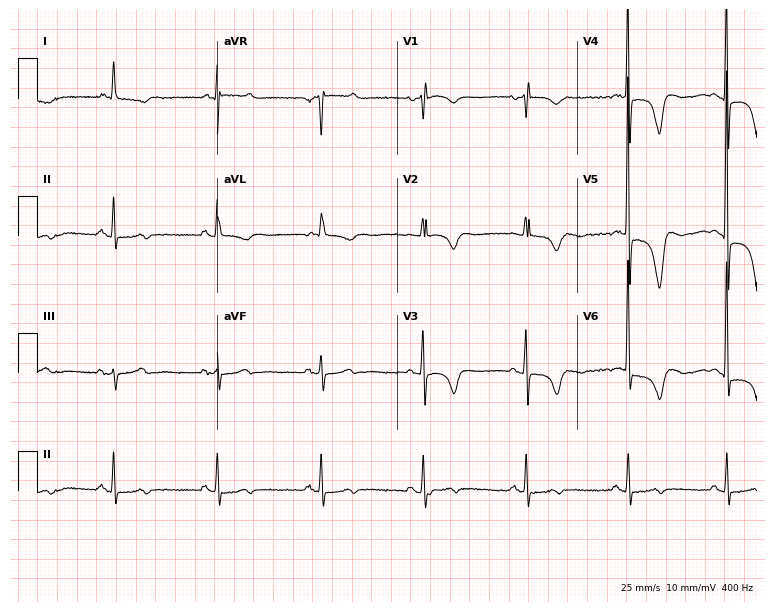
Standard 12-lead ECG recorded from a 68-year-old female patient. None of these six findings is recorded: first-degree AV block, right bundle branch block (RBBB), left bundle branch block (LBBB), sinus bradycardia, atrial fibrillation (AF), sinus tachycardia. Other findings, if any, are not listed.